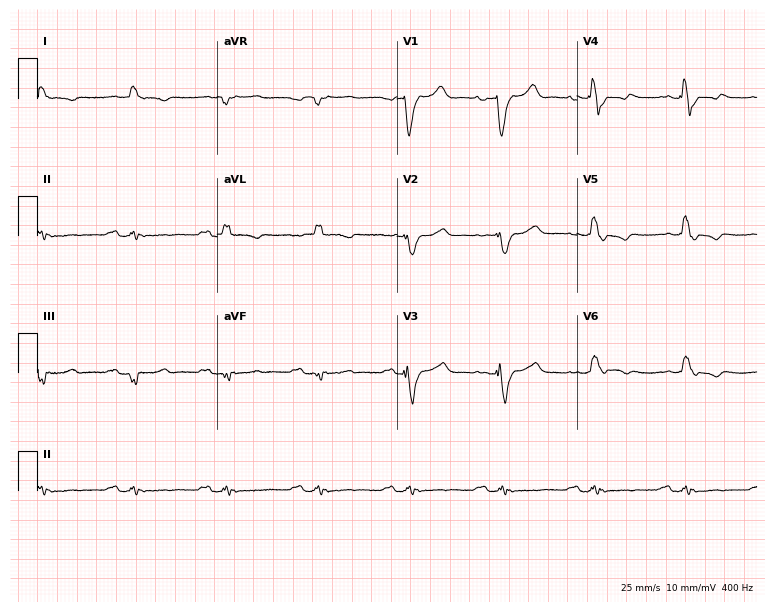
Electrocardiogram, a 71-year-old man. Of the six screened findings (first-degree AV block, right bundle branch block (RBBB), left bundle branch block (LBBB), sinus bradycardia, atrial fibrillation (AF), sinus tachycardia), none is recorded. Only these six findings were labelled.